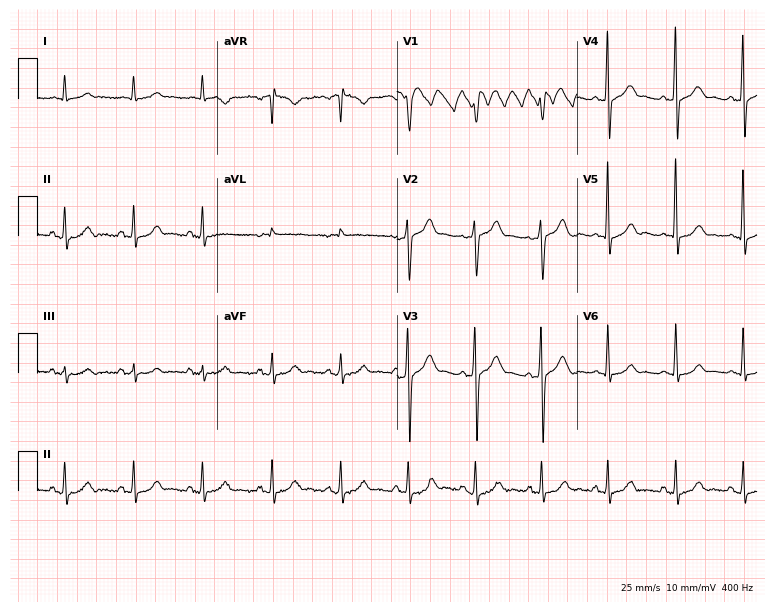
Resting 12-lead electrocardiogram. Patient: a 69-year-old male. None of these six findings is recorded: first-degree AV block, right bundle branch block, left bundle branch block, sinus bradycardia, atrial fibrillation, sinus tachycardia. Findings outside these six are not listed.